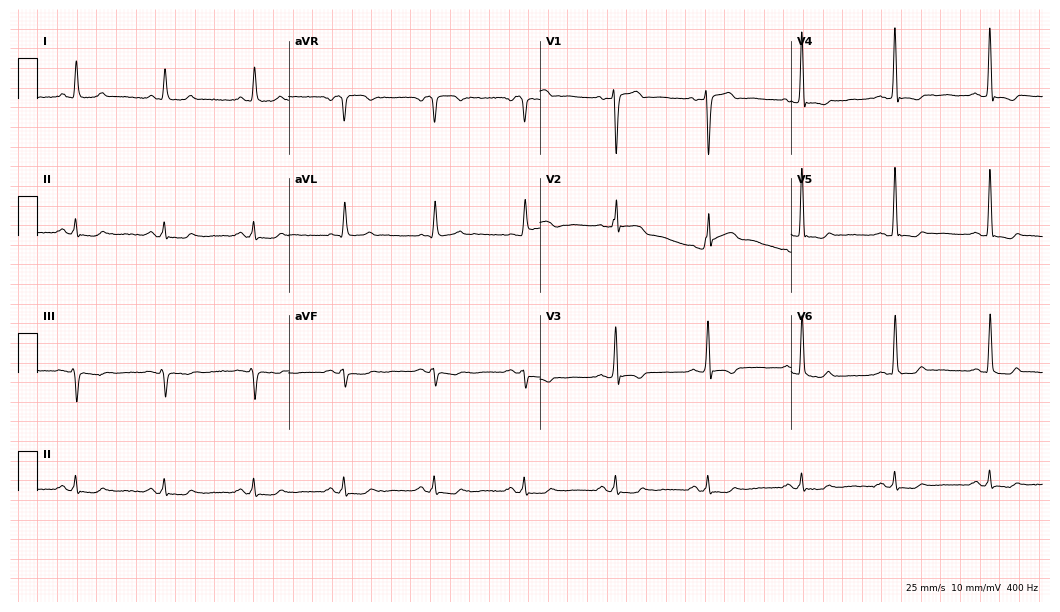
Electrocardiogram (10.2-second recording at 400 Hz), a man, 55 years old. Of the six screened findings (first-degree AV block, right bundle branch block, left bundle branch block, sinus bradycardia, atrial fibrillation, sinus tachycardia), none is recorded.